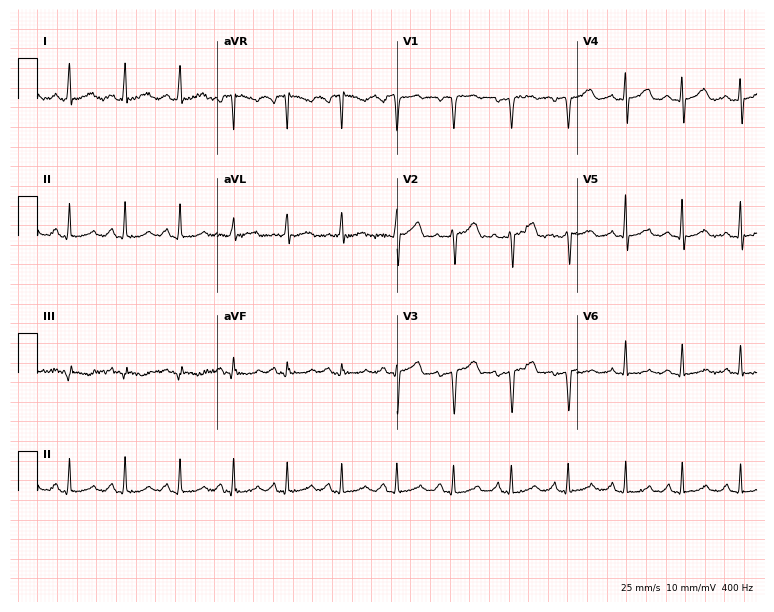
Resting 12-lead electrocardiogram. Patient: a 46-year-old female. The tracing shows sinus tachycardia (a sinus rate of 100 beats per minute or more).